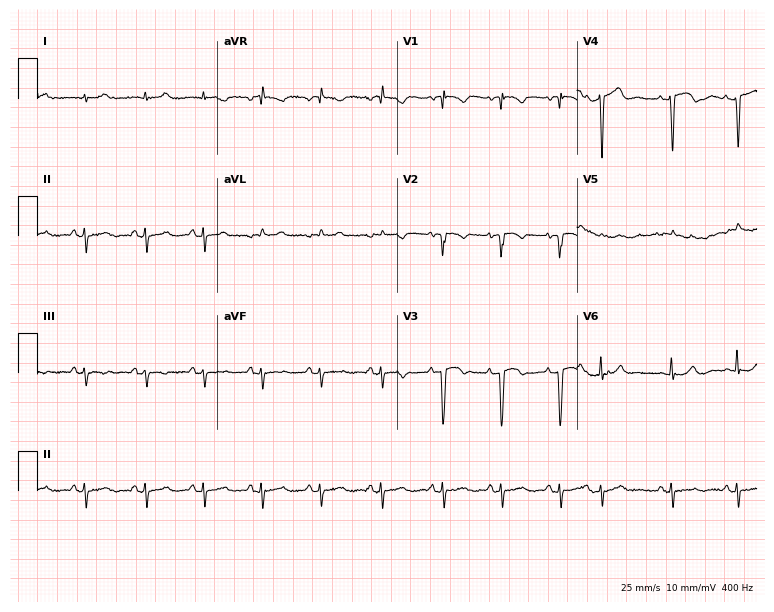
Standard 12-lead ECG recorded from a 74-year-old female (7.3-second recording at 400 Hz). None of these six findings is recorded: first-degree AV block, right bundle branch block (RBBB), left bundle branch block (LBBB), sinus bradycardia, atrial fibrillation (AF), sinus tachycardia.